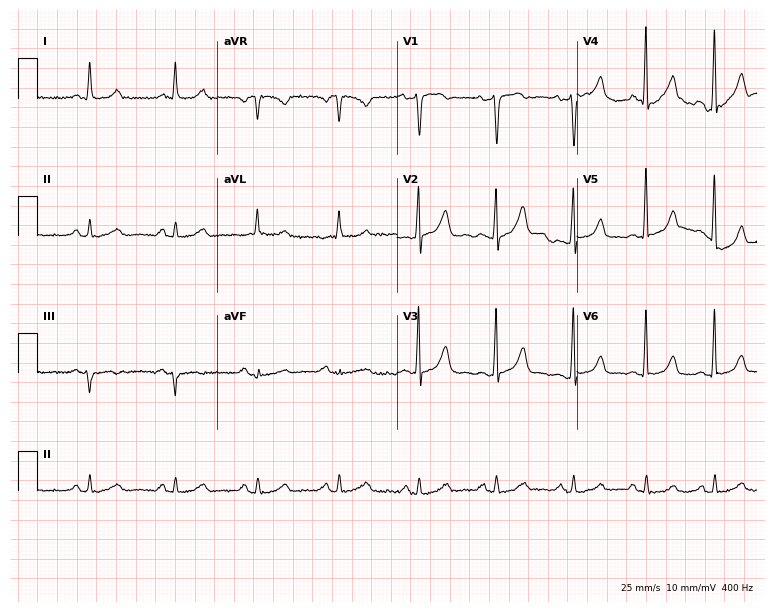
12-lead ECG from a 59-year-old female patient. Screened for six findings — first-degree AV block, right bundle branch block, left bundle branch block, sinus bradycardia, atrial fibrillation, sinus tachycardia — none is recorded. Other findings, if any, are not listed.